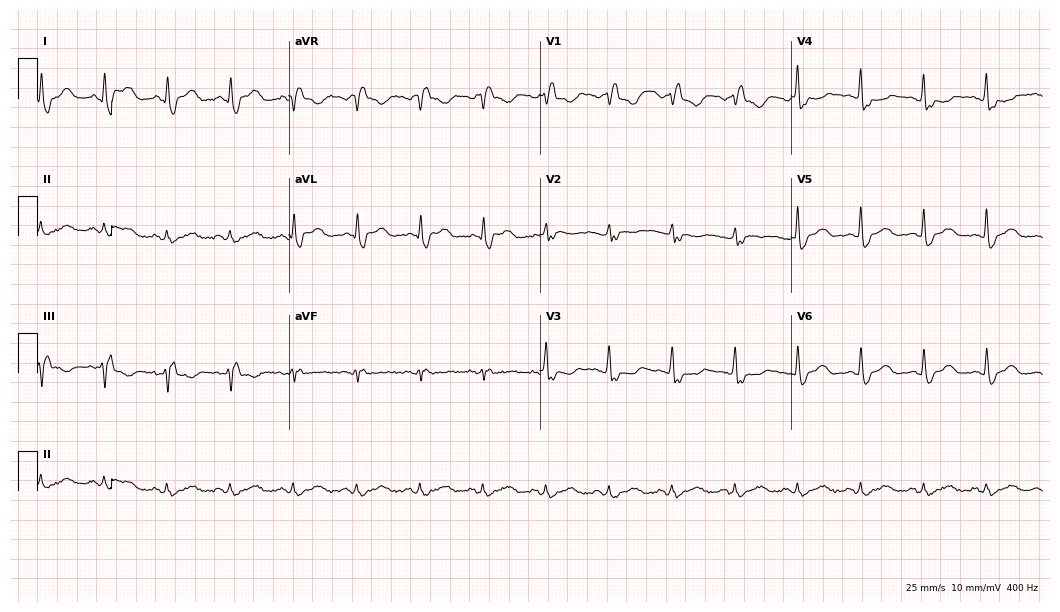
12-lead ECG from a female, 50 years old. Screened for six findings — first-degree AV block, right bundle branch block, left bundle branch block, sinus bradycardia, atrial fibrillation, sinus tachycardia — none is recorded.